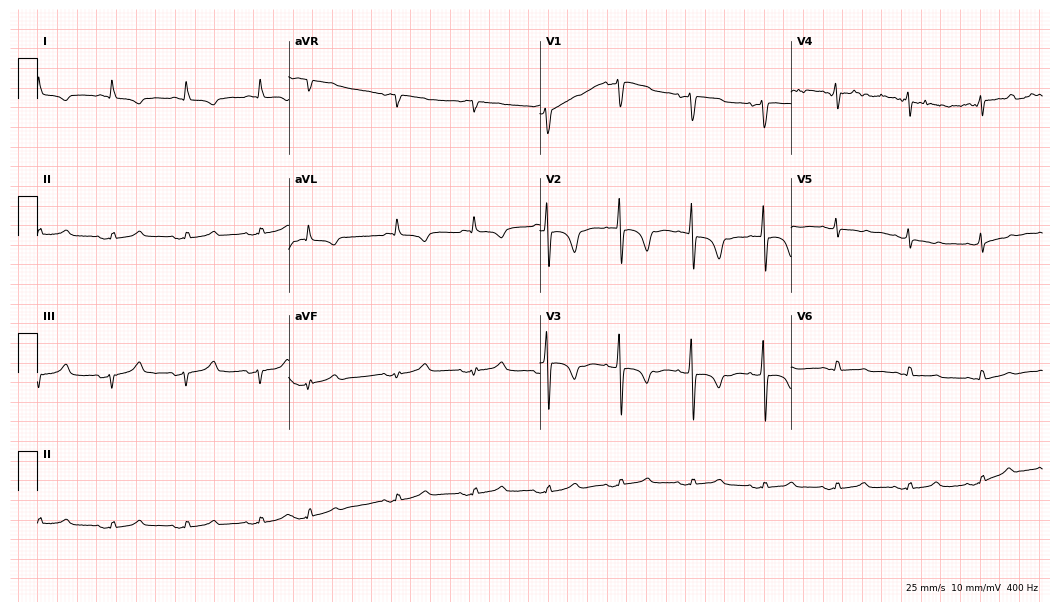
12-lead ECG (10.2-second recording at 400 Hz) from a woman, 75 years old. Labelled as a normal ECG.